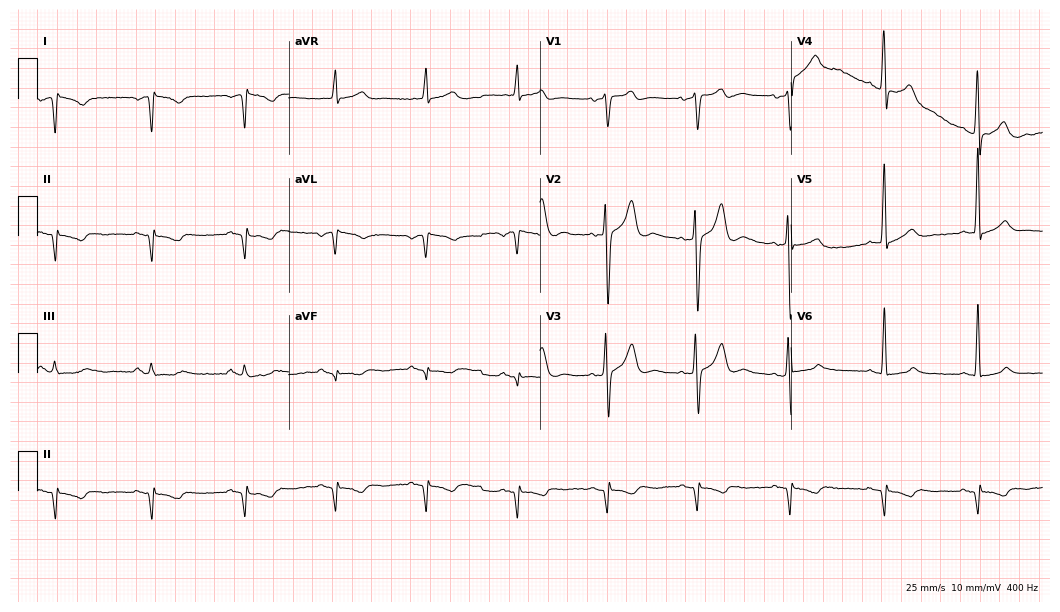
Electrocardiogram (10.2-second recording at 400 Hz), a 44-year-old male. Of the six screened findings (first-degree AV block, right bundle branch block (RBBB), left bundle branch block (LBBB), sinus bradycardia, atrial fibrillation (AF), sinus tachycardia), none is recorded. Only these six findings were labelled.